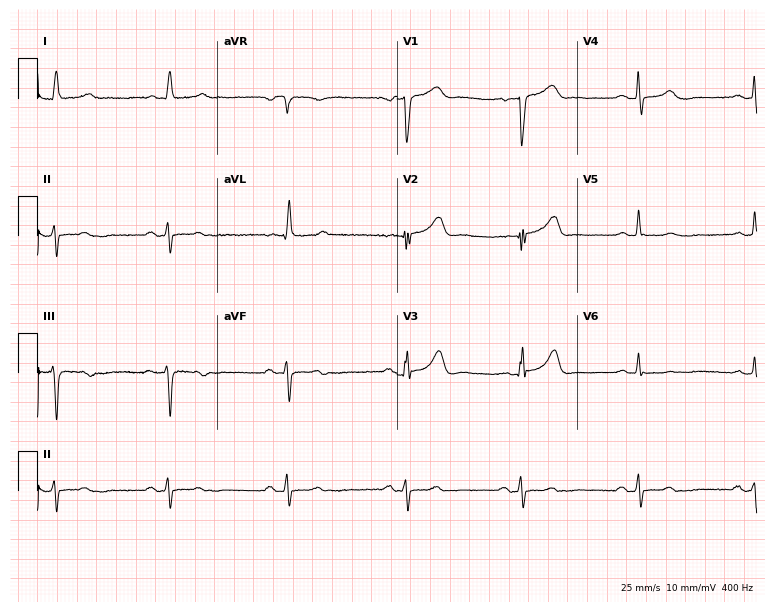
12-lead ECG from an 80-year-old female. No first-degree AV block, right bundle branch block, left bundle branch block, sinus bradycardia, atrial fibrillation or sinus tachycardia recorded for this tracing.